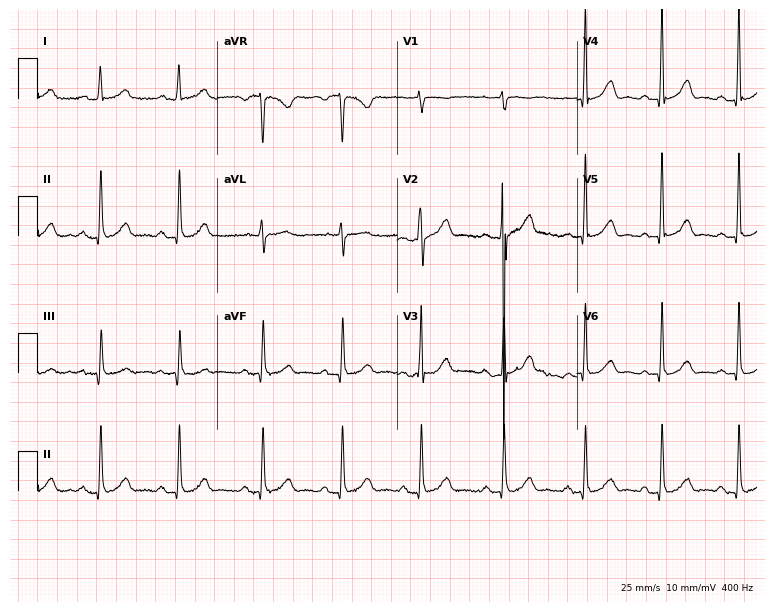
Resting 12-lead electrocardiogram. Patient: a 36-year-old female. Read as a normal ECG.